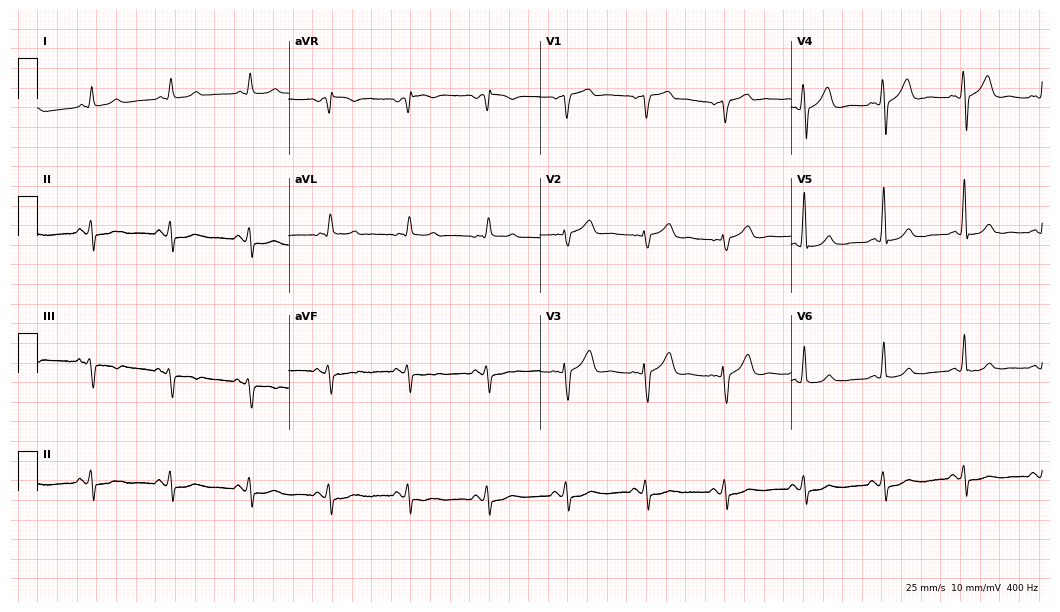
12-lead ECG from a 65-year-old male patient. Screened for six findings — first-degree AV block, right bundle branch block, left bundle branch block, sinus bradycardia, atrial fibrillation, sinus tachycardia — none is recorded.